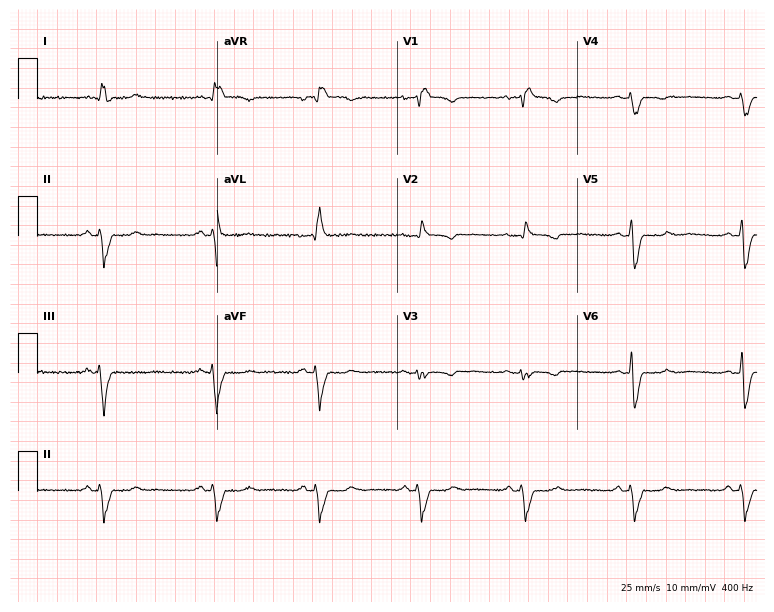
12-lead ECG from a 66-year-old woman. Findings include right bundle branch block (RBBB).